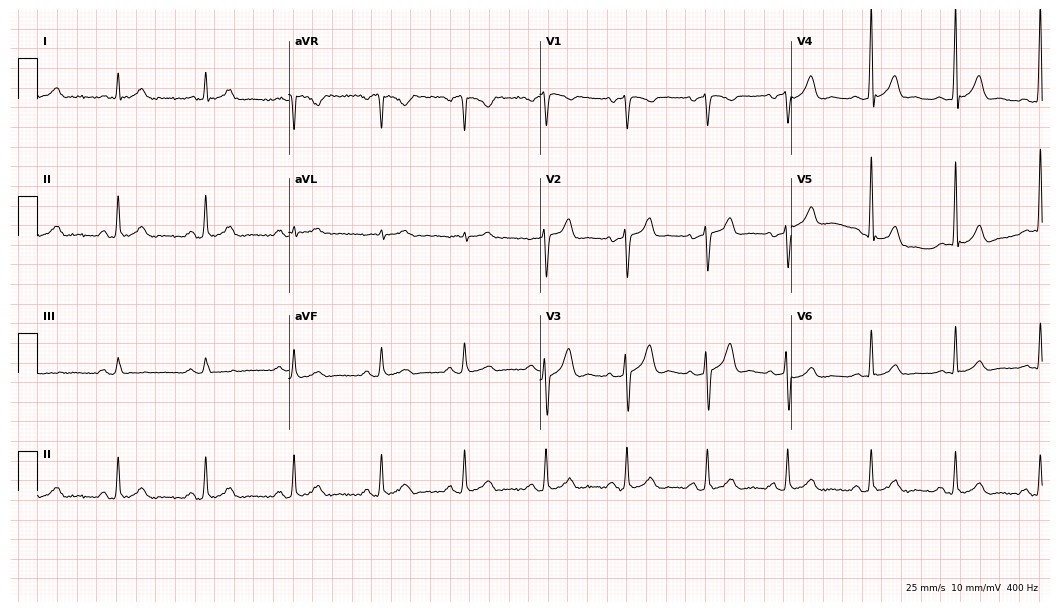
Resting 12-lead electrocardiogram. Patient: a man, 70 years old. Read as a normal ECG.